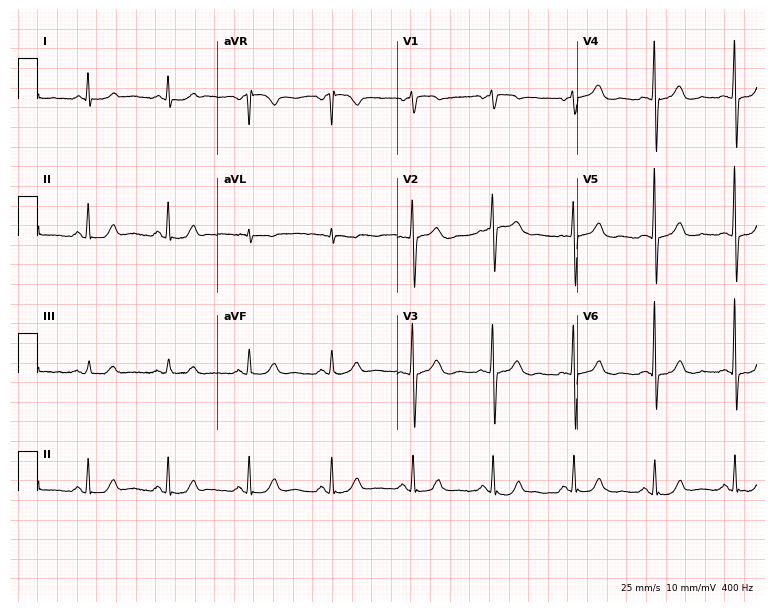
12-lead ECG from a 73-year-old man. Labelled as a normal ECG.